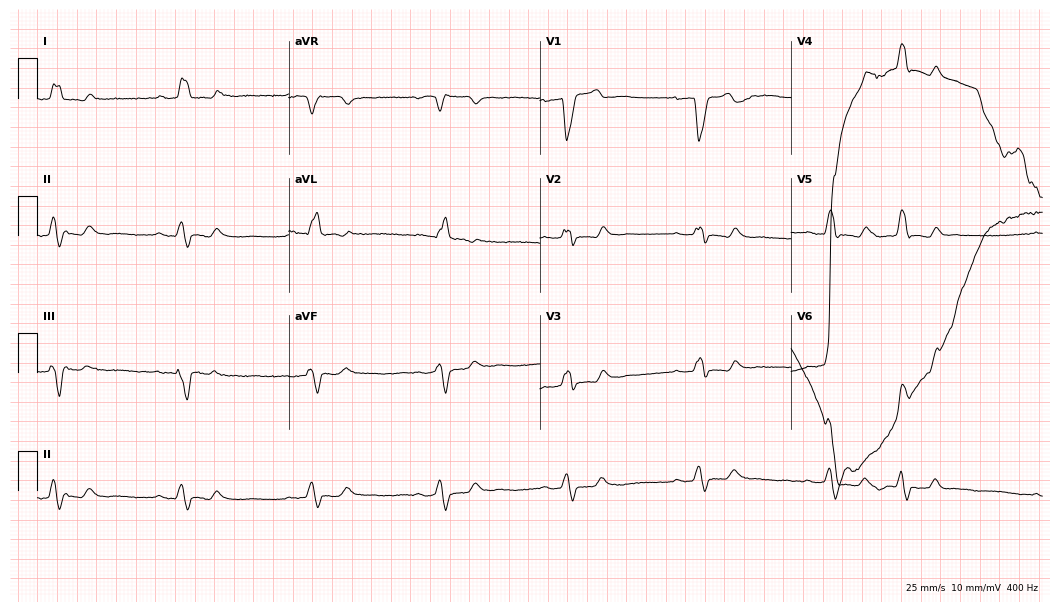
12-lead ECG from a male patient, 47 years old. Screened for six findings — first-degree AV block, right bundle branch block, left bundle branch block, sinus bradycardia, atrial fibrillation, sinus tachycardia — none is recorded.